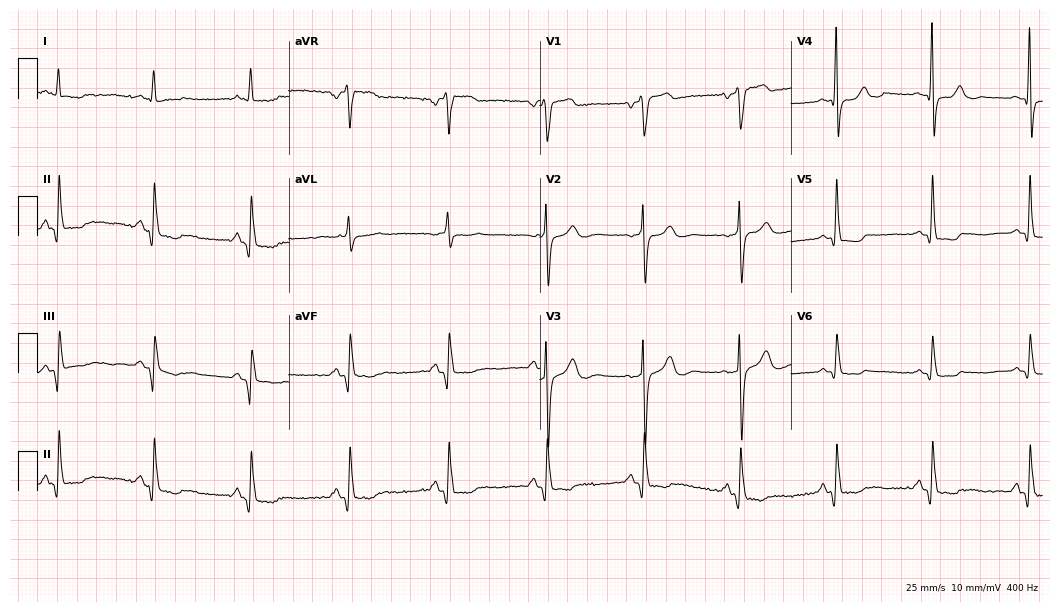
12-lead ECG from a 55-year-old man. Screened for six findings — first-degree AV block, right bundle branch block, left bundle branch block, sinus bradycardia, atrial fibrillation, sinus tachycardia — none is recorded. Only these six findings were labelled.